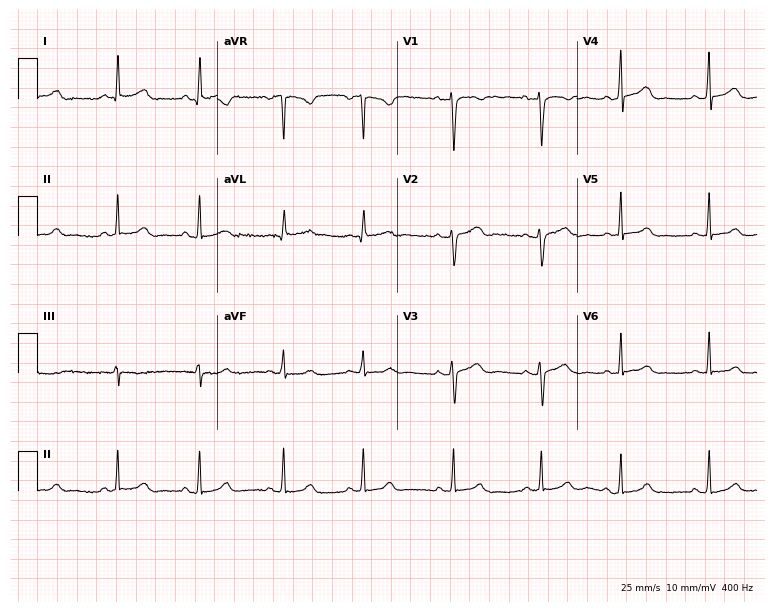
12-lead ECG (7.3-second recording at 400 Hz) from a 31-year-old female. Labelled as a normal ECG.